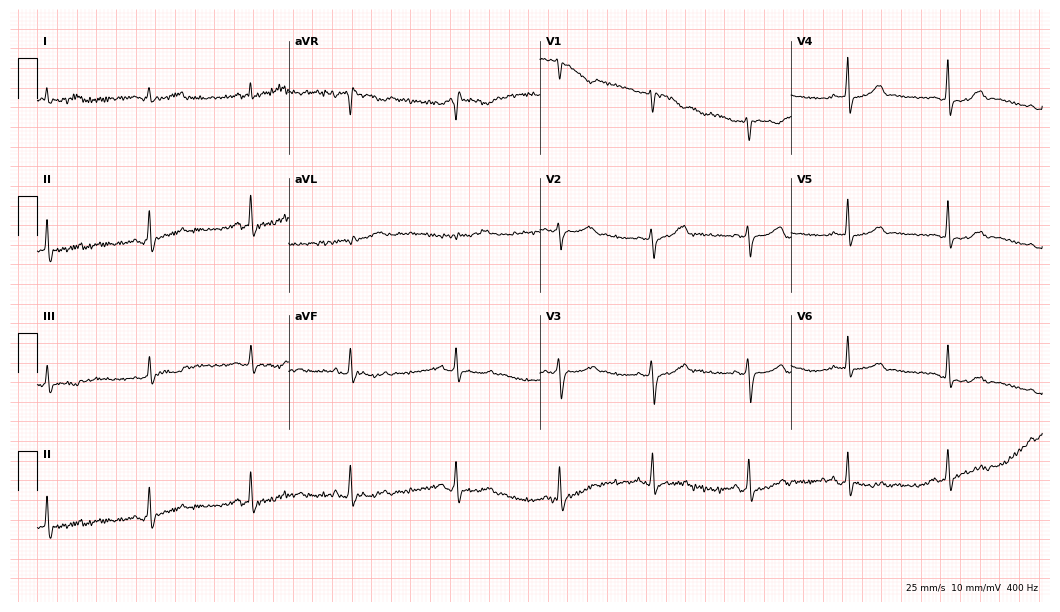
ECG — a female, 30 years old. Screened for six findings — first-degree AV block, right bundle branch block, left bundle branch block, sinus bradycardia, atrial fibrillation, sinus tachycardia — none is recorded.